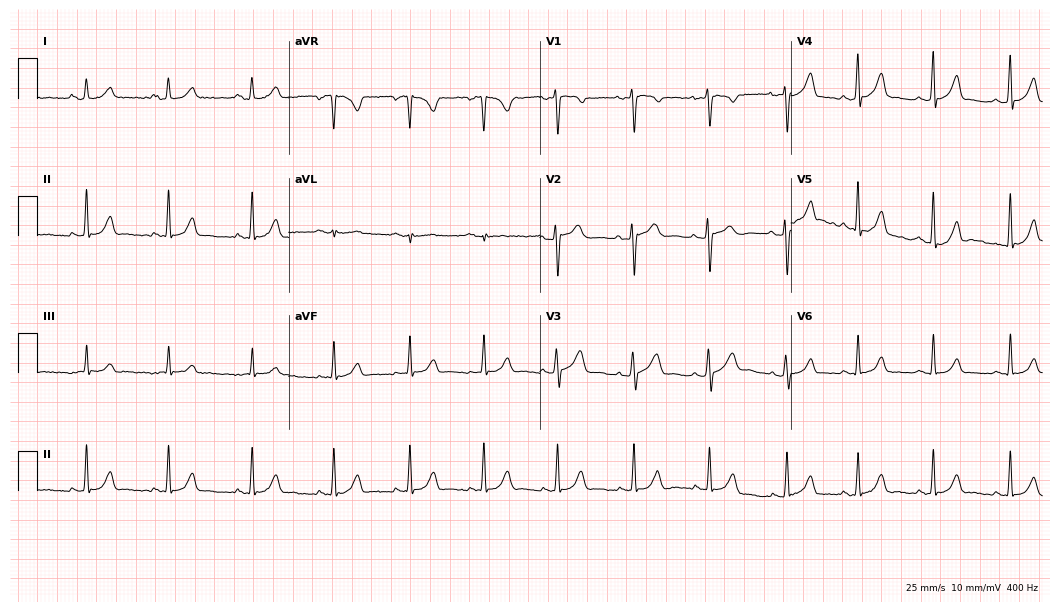
ECG — a woman, 27 years old. Labelled as a normal ECG.